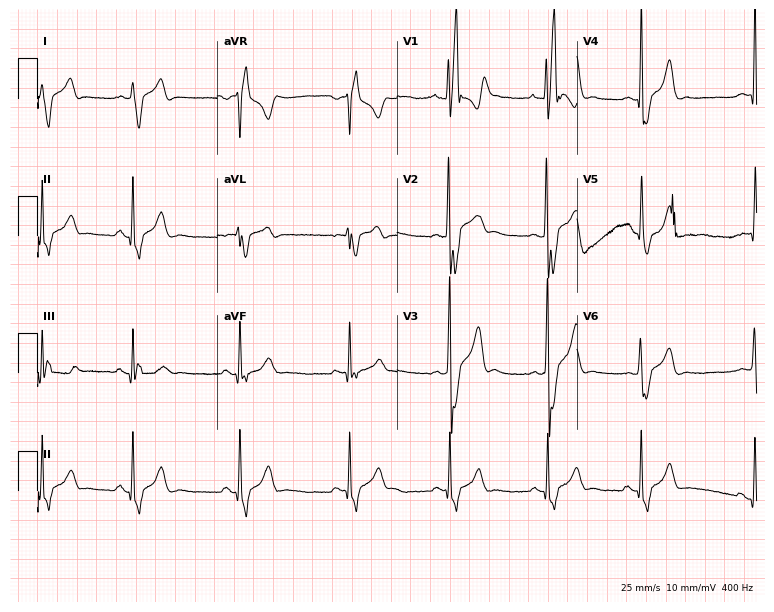
ECG — a male patient, 19 years old. Findings include right bundle branch block.